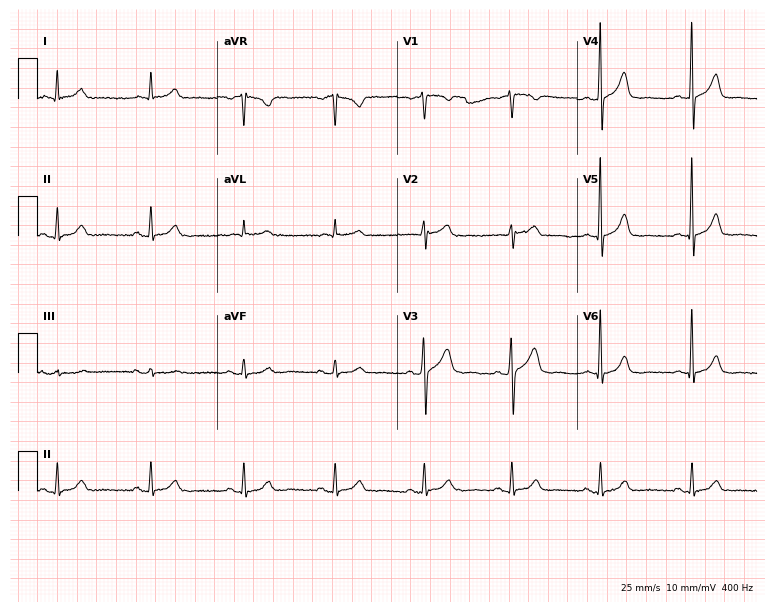
Resting 12-lead electrocardiogram. Patient: a 59-year-old man. Read as a normal ECG.